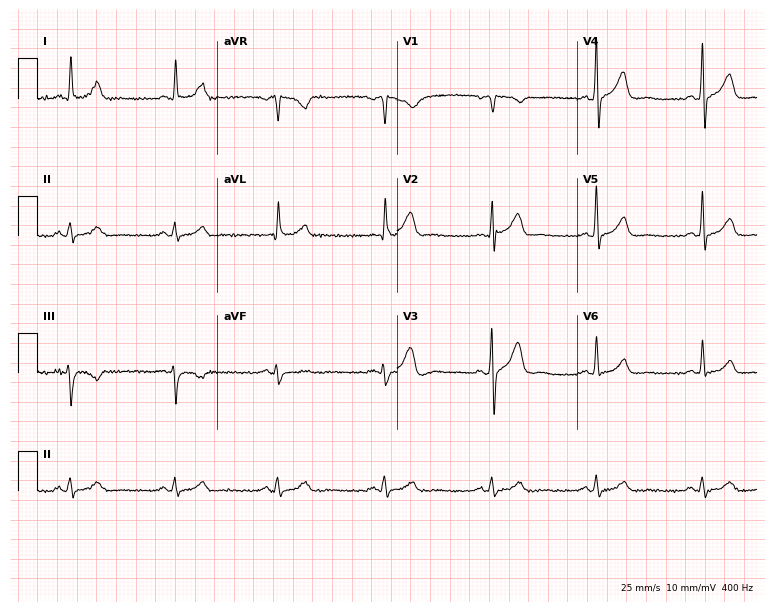
12-lead ECG from a 59-year-old male patient. Labelled as a normal ECG.